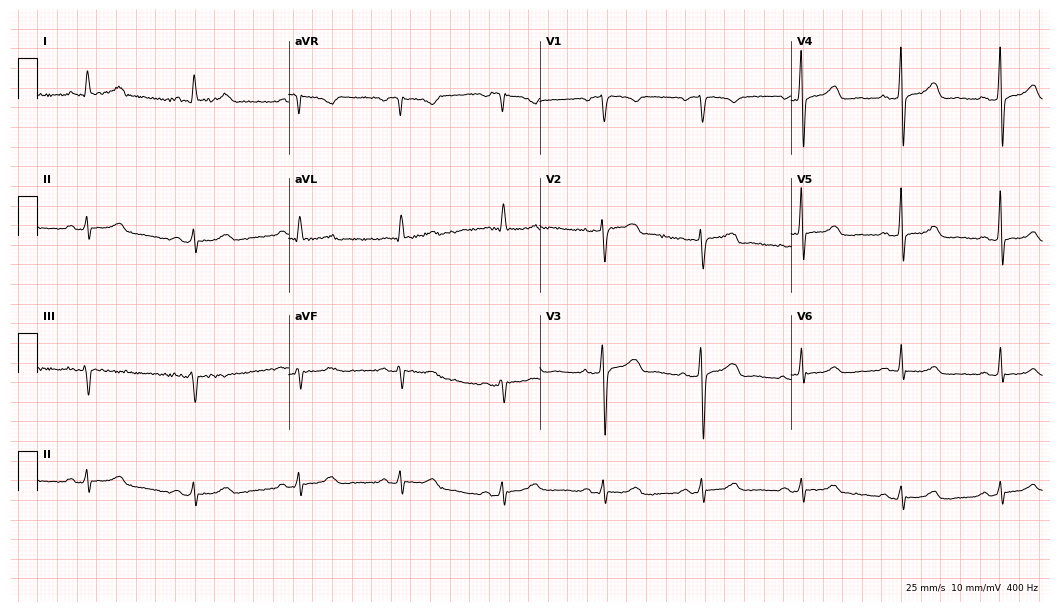
ECG (10.2-second recording at 400 Hz) — a female patient, 62 years old. Screened for six findings — first-degree AV block, right bundle branch block (RBBB), left bundle branch block (LBBB), sinus bradycardia, atrial fibrillation (AF), sinus tachycardia — none is recorded.